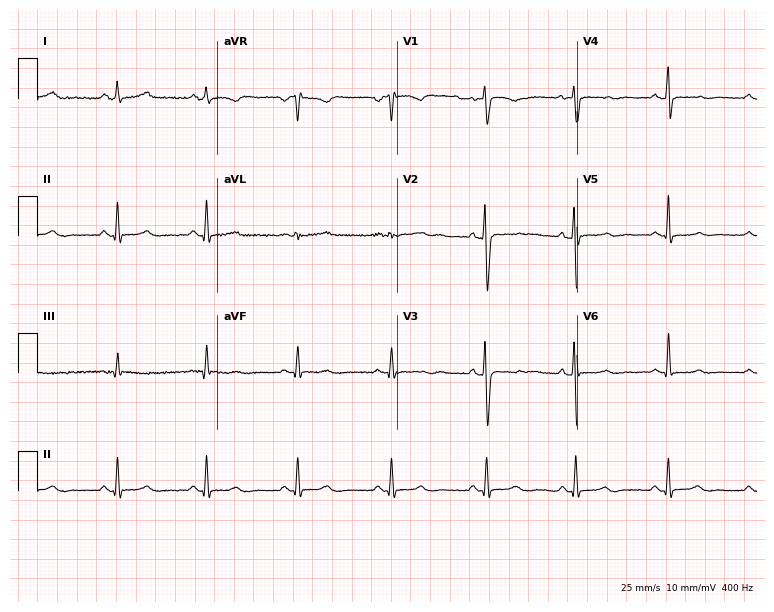
Resting 12-lead electrocardiogram (7.3-second recording at 400 Hz). Patient: a woman, 46 years old. None of these six findings is recorded: first-degree AV block, right bundle branch block, left bundle branch block, sinus bradycardia, atrial fibrillation, sinus tachycardia. Only these six findings were labelled.